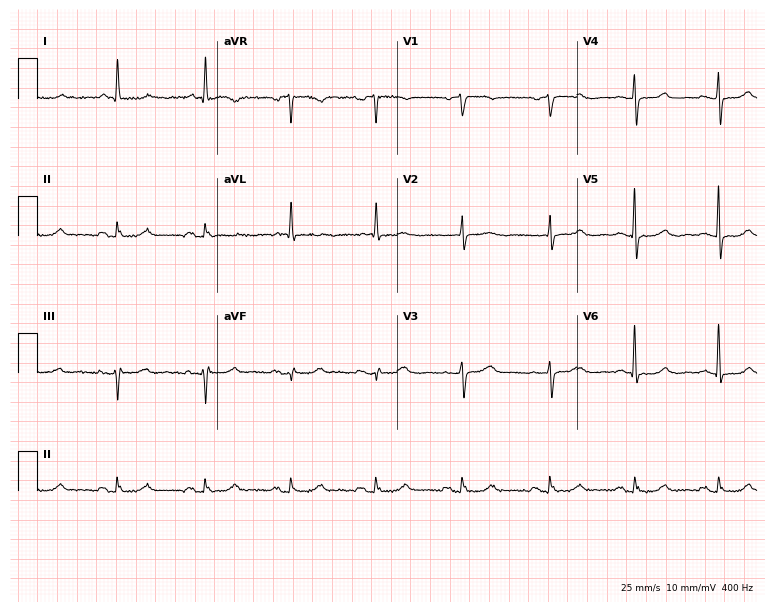
Standard 12-lead ECG recorded from a 73-year-old woman (7.3-second recording at 400 Hz). None of these six findings is recorded: first-degree AV block, right bundle branch block (RBBB), left bundle branch block (LBBB), sinus bradycardia, atrial fibrillation (AF), sinus tachycardia. Only these six findings were labelled.